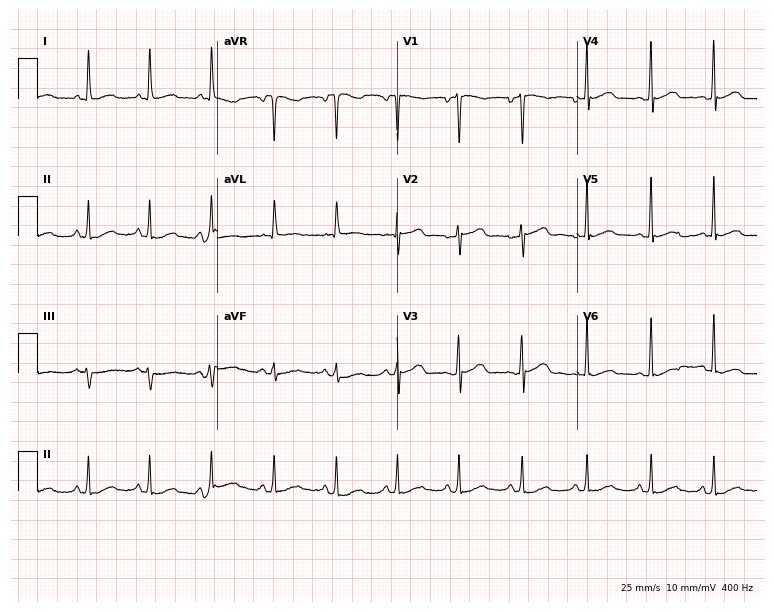
Resting 12-lead electrocardiogram (7.3-second recording at 400 Hz). Patient: a female, 44 years old. Read as a normal ECG.